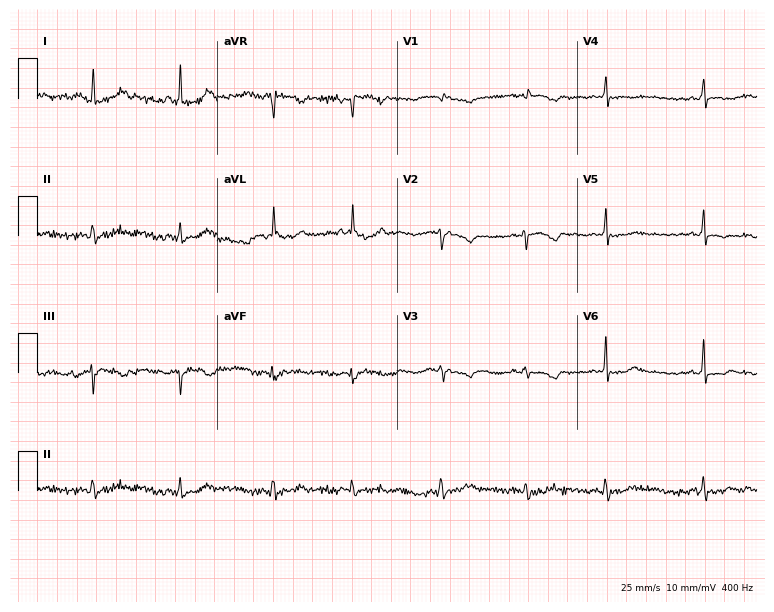
12-lead ECG (7.3-second recording at 400 Hz) from a female, 22 years old. Screened for six findings — first-degree AV block, right bundle branch block, left bundle branch block, sinus bradycardia, atrial fibrillation, sinus tachycardia — none is recorded.